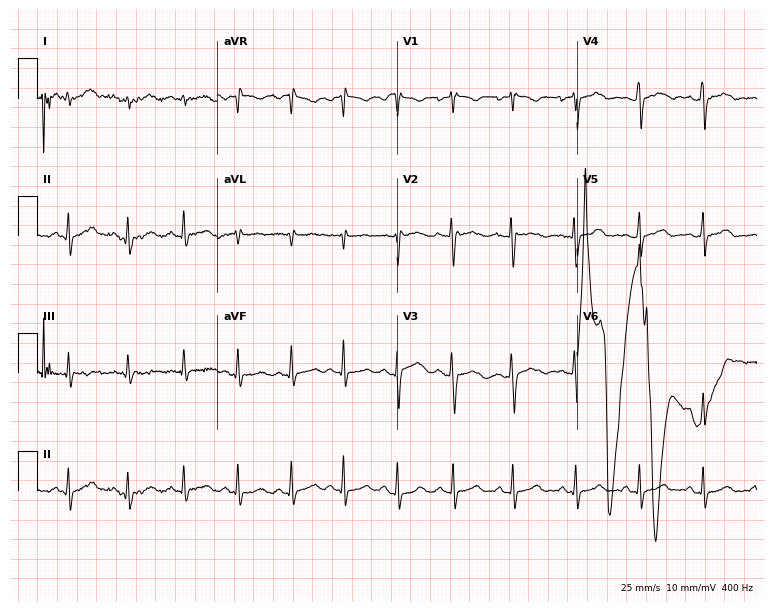
Resting 12-lead electrocardiogram (7.3-second recording at 400 Hz). Patient: a woman, 19 years old. The tracing shows sinus tachycardia (a sinus rate of 100 beats per minute or more).